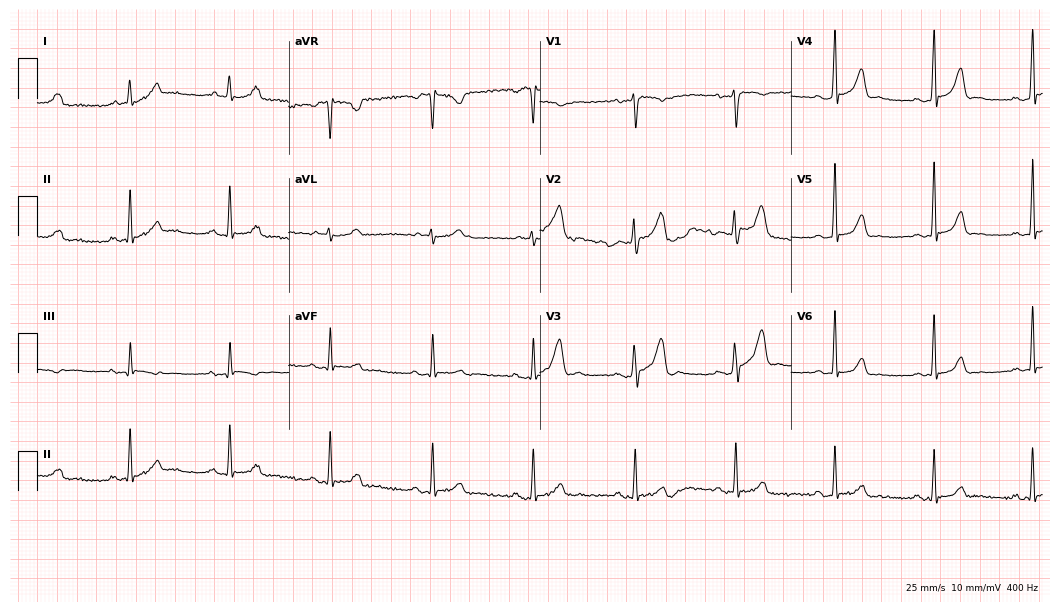
12-lead ECG (10.2-second recording at 400 Hz) from a man, 35 years old. Labelled as a normal ECG.